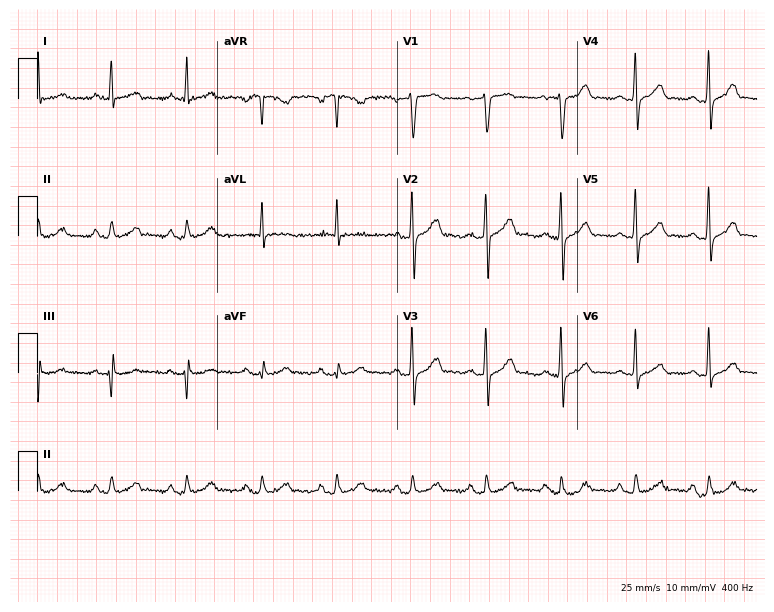
Resting 12-lead electrocardiogram. Patient: a 62-year-old male. Read as a normal ECG.